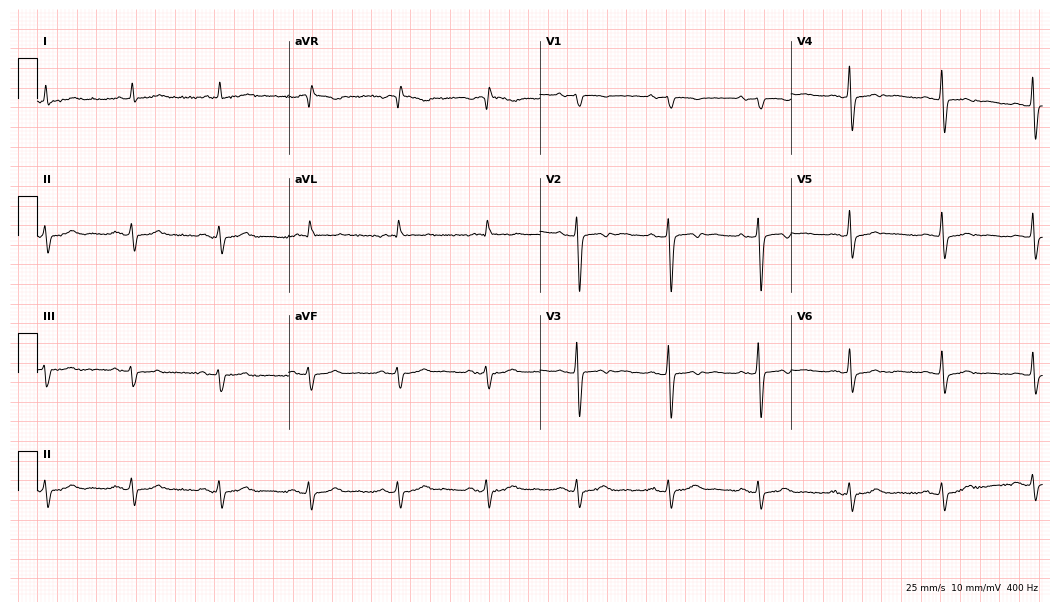
ECG — a female patient, 83 years old. Screened for six findings — first-degree AV block, right bundle branch block (RBBB), left bundle branch block (LBBB), sinus bradycardia, atrial fibrillation (AF), sinus tachycardia — none is recorded. Other findings, if any, are not listed.